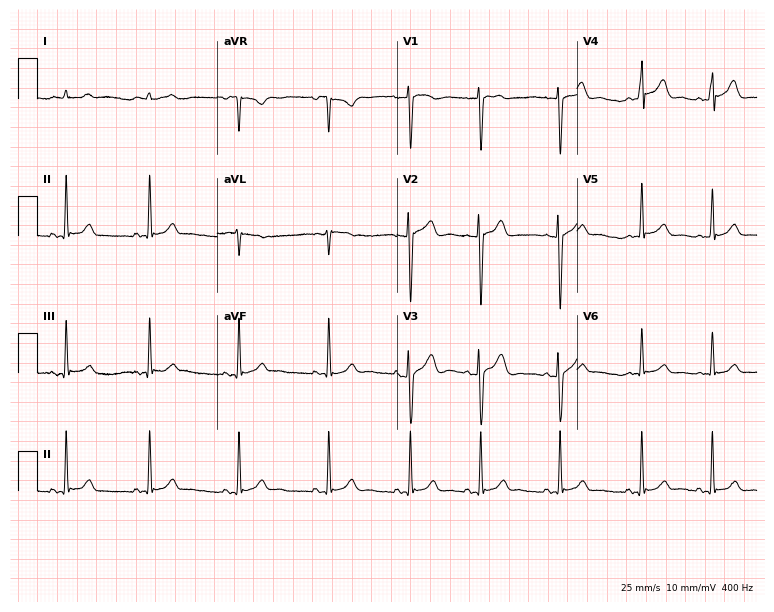
12-lead ECG from a 27-year-old female patient. Recorded interpretation: within normal limits.